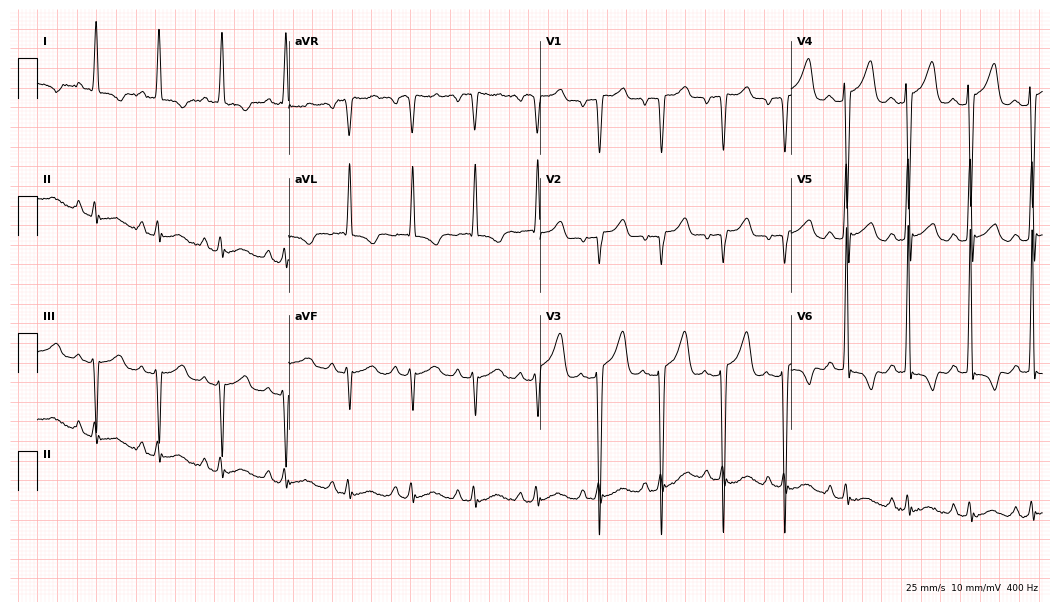
Standard 12-lead ECG recorded from a female, 55 years old (10.2-second recording at 400 Hz). None of these six findings is recorded: first-degree AV block, right bundle branch block (RBBB), left bundle branch block (LBBB), sinus bradycardia, atrial fibrillation (AF), sinus tachycardia.